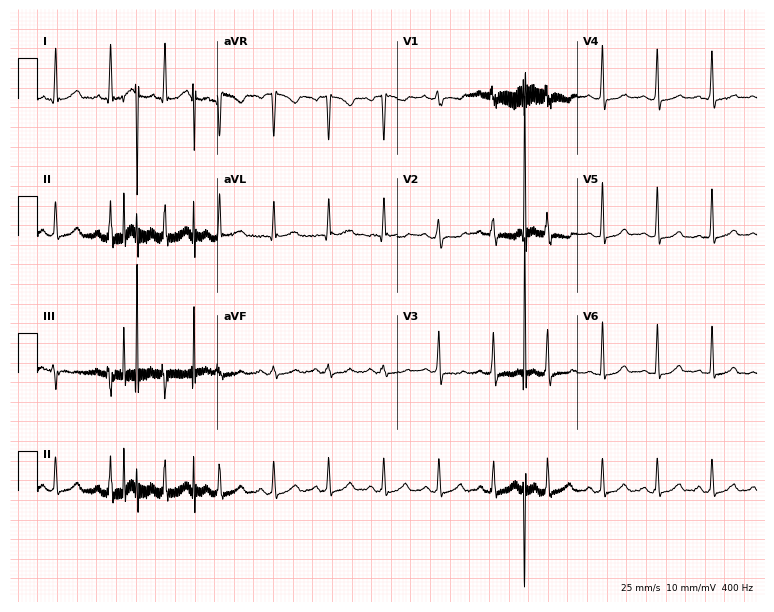
Resting 12-lead electrocardiogram (7.3-second recording at 400 Hz). Patient: a 39-year-old female. None of these six findings is recorded: first-degree AV block, right bundle branch block, left bundle branch block, sinus bradycardia, atrial fibrillation, sinus tachycardia. Only these six findings were labelled.